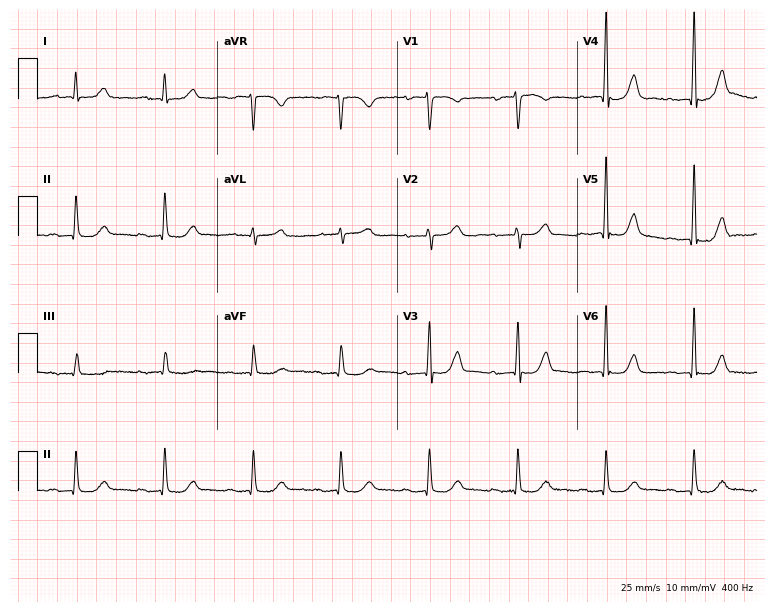
Electrocardiogram, an 82-year-old female. Interpretation includes first-degree AV block.